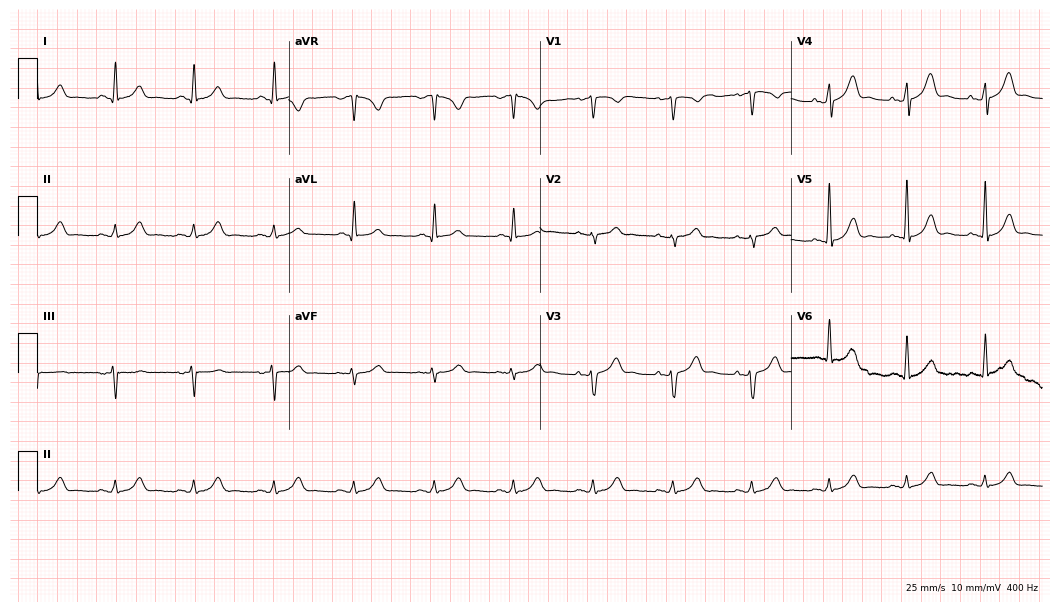
ECG (10.2-second recording at 400 Hz) — a male patient, 52 years old. Labelled as a normal ECG.